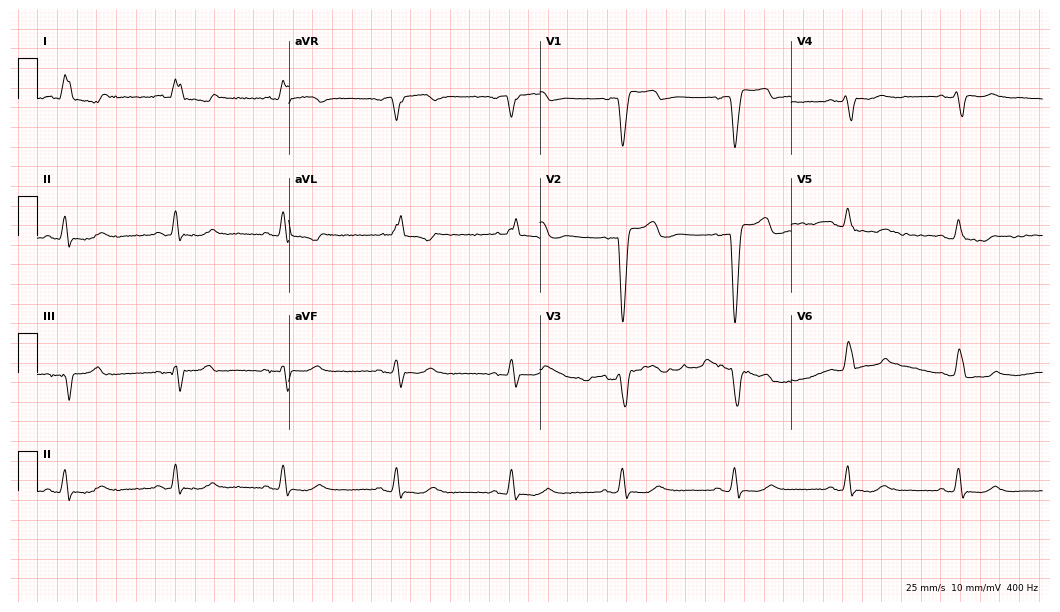
12-lead ECG from a woman, 83 years old. Shows left bundle branch block.